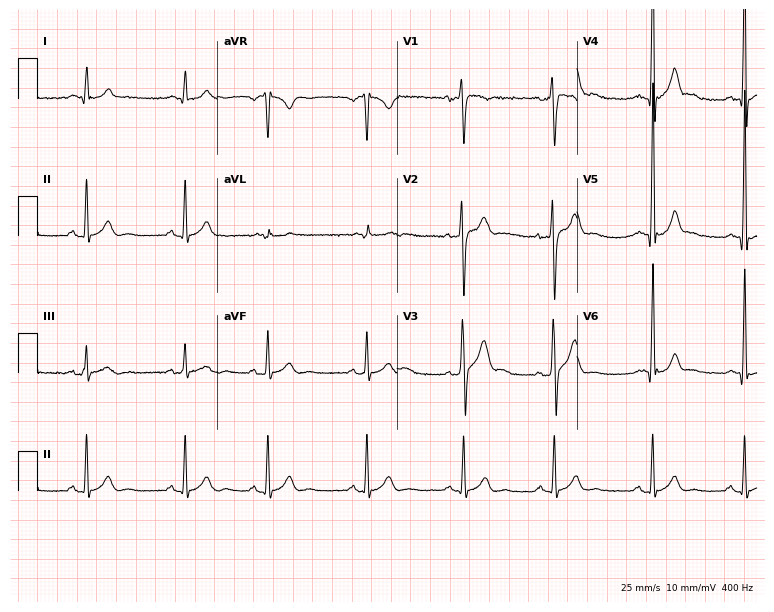
Electrocardiogram (7.3-second recording at 400 Hz), a 24-year-old male. Overall reading on record: normal ECG.